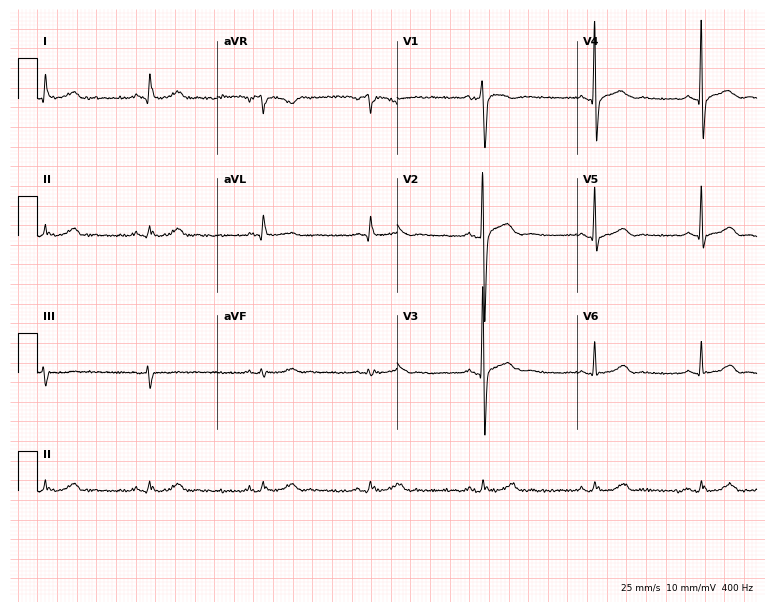
Resting 12-lead electrocardiogram. Patient: a female, 43 years old. None of these six findings is recorded: first-degree AV block, right bundle branch block (RBBB), left bundle branch block (LBBB), sinus bradycardia, atrial fibrillation (AF), sinus tachycardia. Other findings, if any, are not listed.